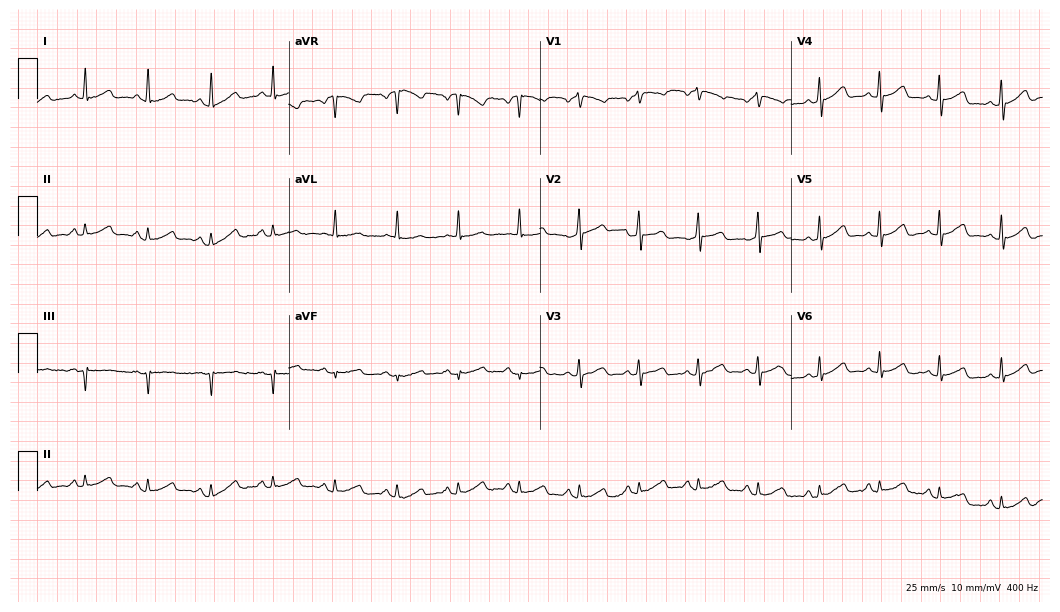
12-lead ECG from a woman, 55 years old. No first-degree AV block, right bundle branch block, left bundle branch block, sinus bradycardia, atrial fibrillation or sinus tachycardia recorded for this tracing.